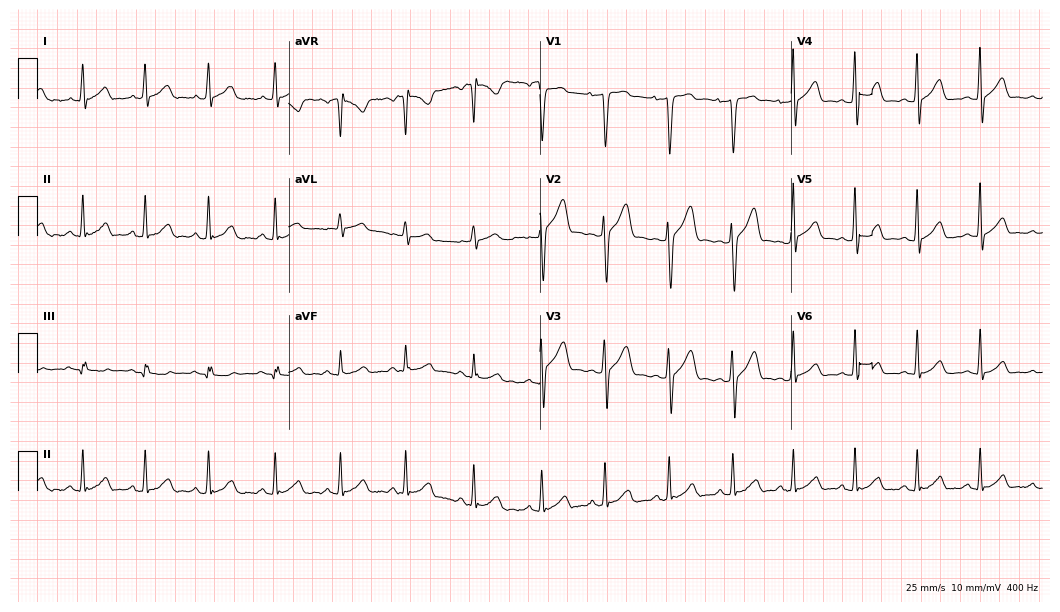
ECG (10.2-second recording at 400 Hz) — a 30-year-old man. Labelled as a normal ECG.